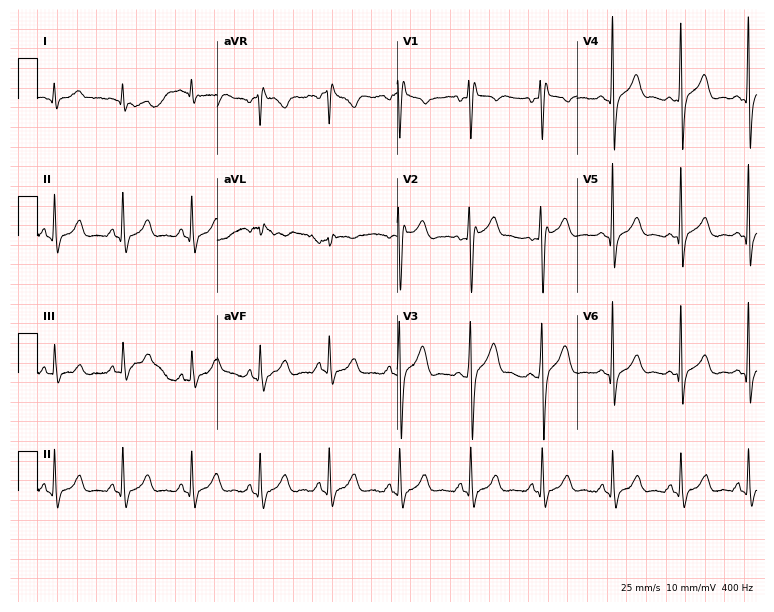
Electrocardiogram (7.3-second recording at 400 Hz), a male, 44 years old. Interpretation includes right bundle branch block.